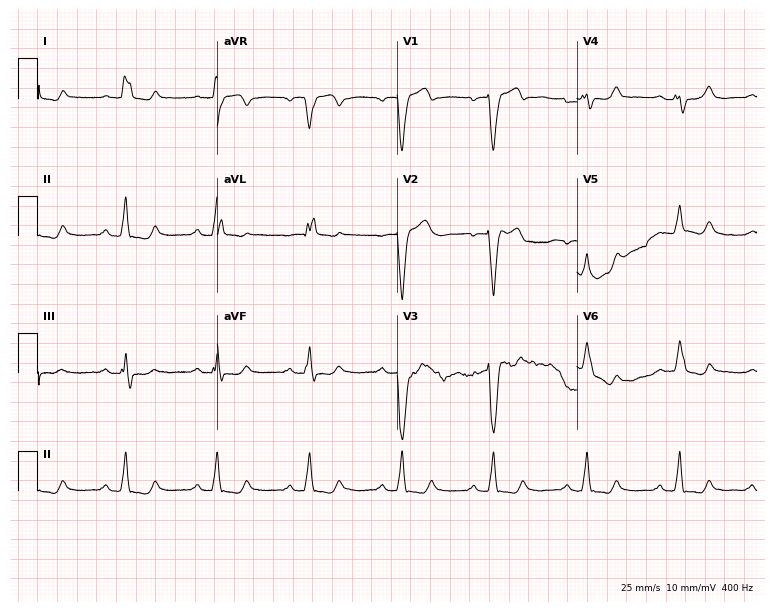
12-lead ECG (7.3-second recording at 400 Hz) from a 57-year-old female. Findings include left bundle branch block.